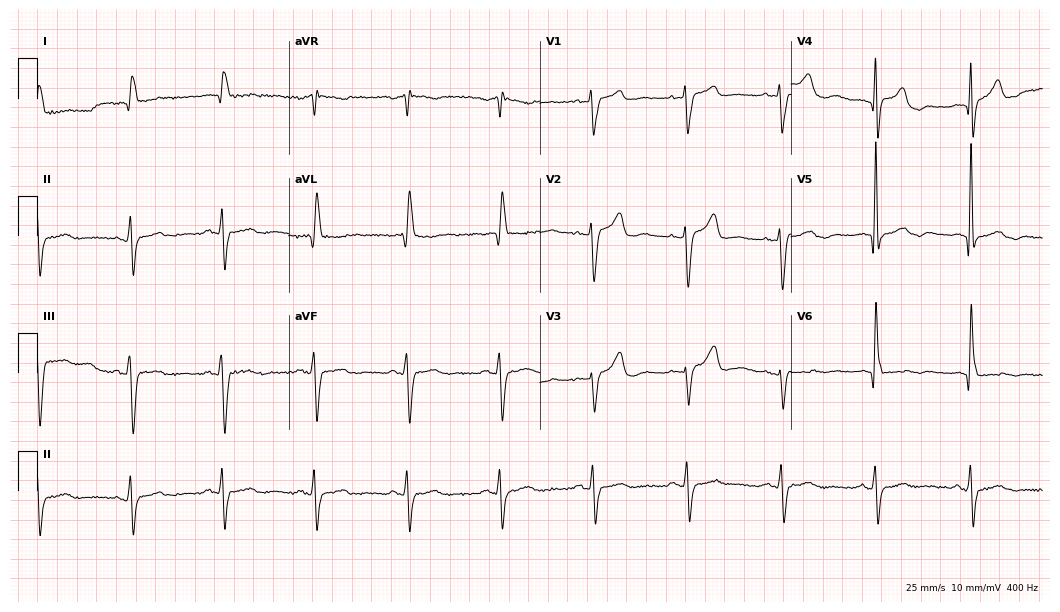
12-lead ECG from an 81-year-old male (10.2-second recording at 400 Hz). No first-degree AV block, right bundle branch block (RBBB), left bundle branch block (LBBB), sinus bradycardia, atrial fibrillation (AF) or sinus tachycardia recorded for this tracing. Other findings, if any, are not listed.